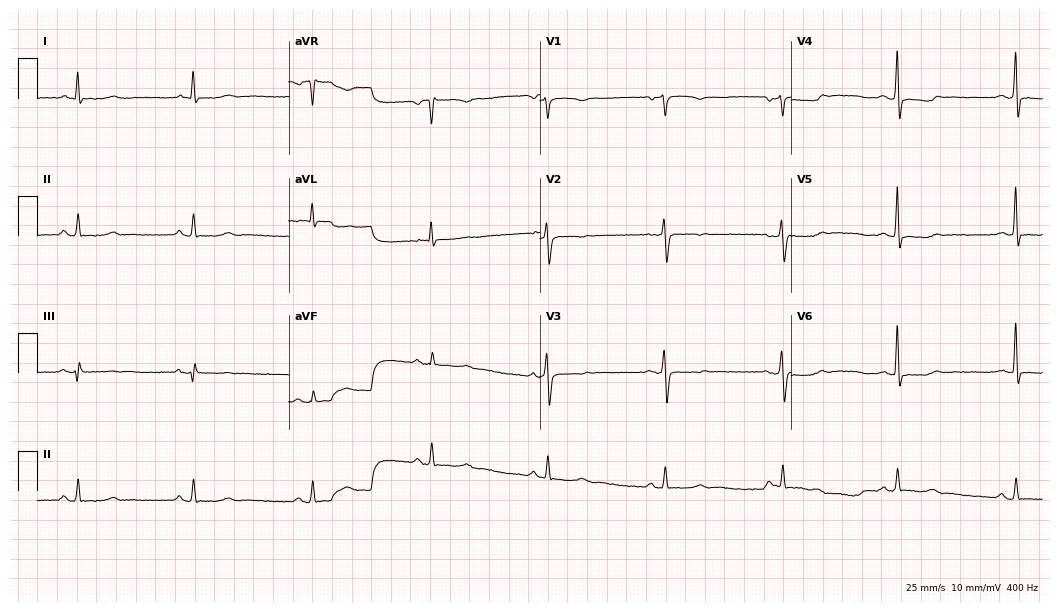
Resting 12-lead electrocardiogram (10.2-second recording at 400 Hz). Patient: a 64-year-old woman. None of these six findings is recorded: first-degree AV block, right bundle branch block, left bundle branch block, sinus bradycardia, atrial fibrillation, sinus tachycardia.